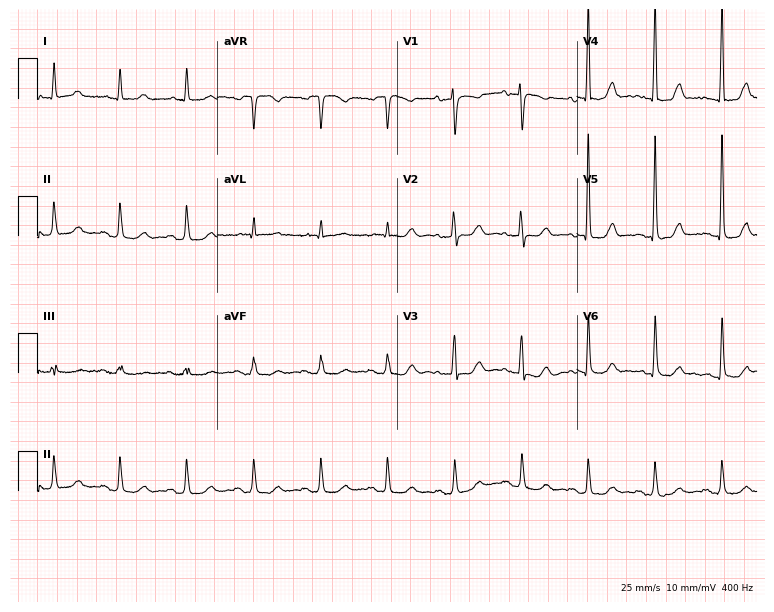
Electrocardiogram (7.3-second recording at 400 Hz), a woman, 71 years old. Of the six screened findings (first-degree AV block, right bundle branch block, left bundle branch block, sinus bradycardia, atrial fibrillation, sinus tachycardia), none is recorded.